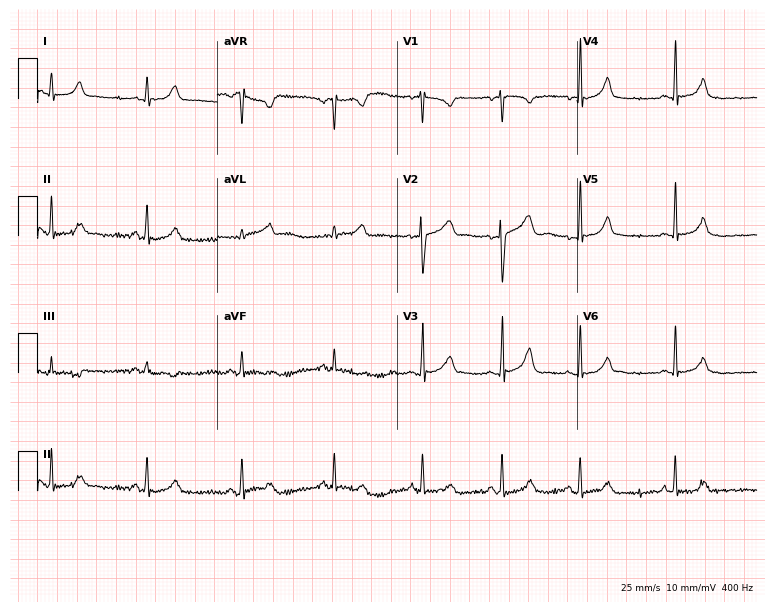
Standard 12-lead ECG recorded from a woman, 21 years old. Read as a normal ECG.